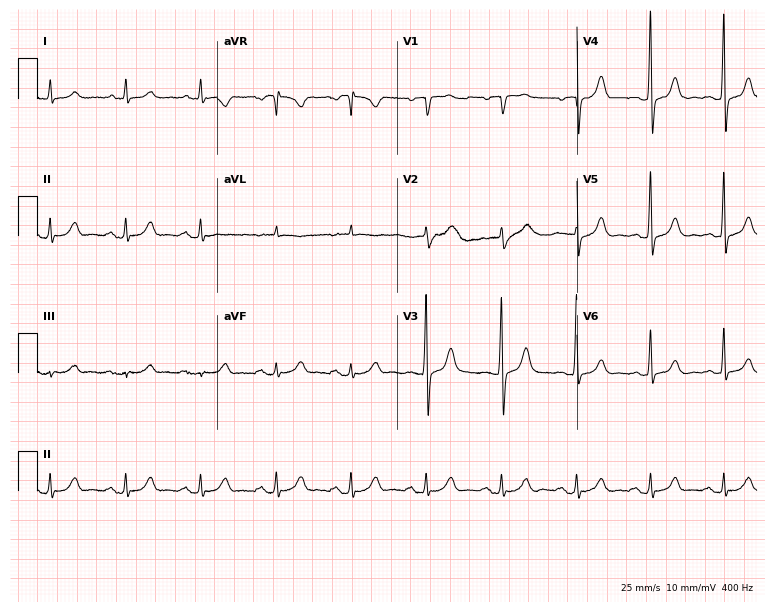
Standard 12-lead ECG recorded from a male, 69 years old. Read as a normal ECG.